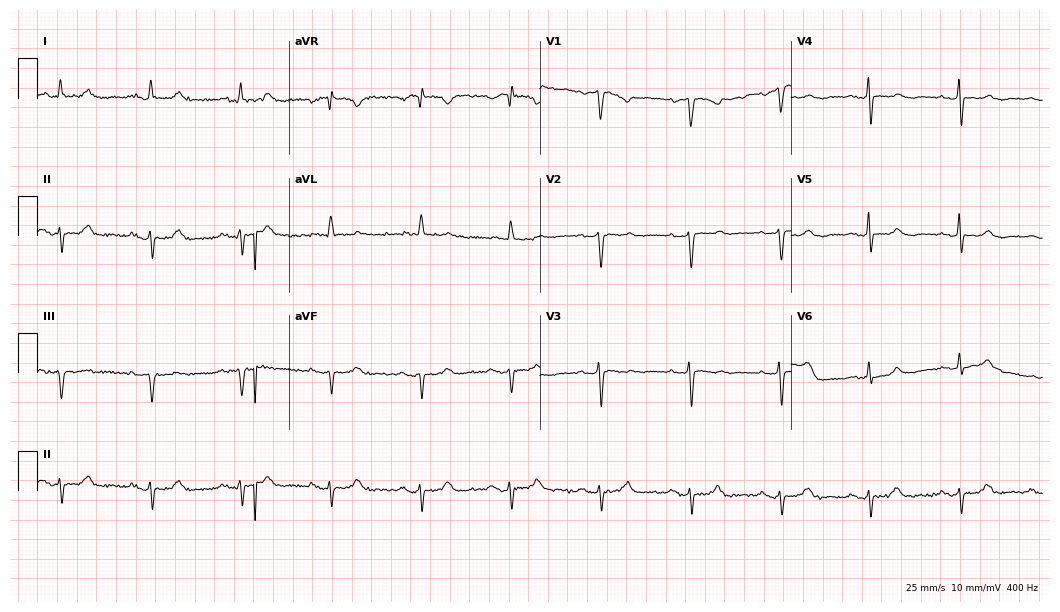
12-lead ECG from an 84-year-old female patient. Screened for six findings — first-degree AV block, right bundle branch block, left bundle branch block, sinus bradycardia, atrial fibrillation, sinus tachycardia — none is recorded.